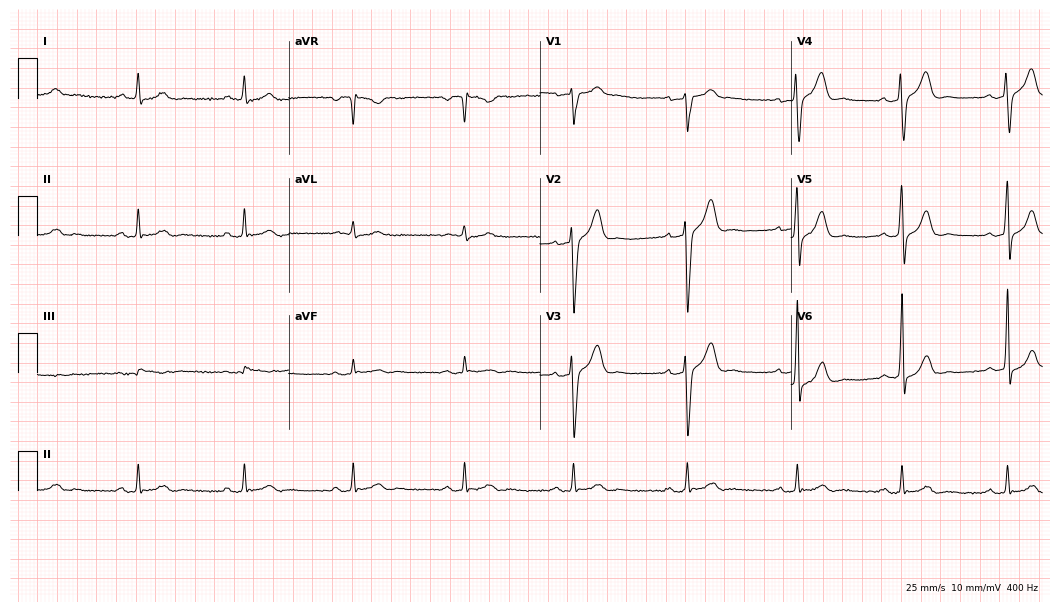
Electrocardiogram, a 63-year-old male patient. Of the six screened findings (first-degree AV block, right bundle branch block (RBBB), left bundle branch block (LBBB), sinus bradycardia, atrial fibrillation (AF), sinus tachycardia), none is recorded.